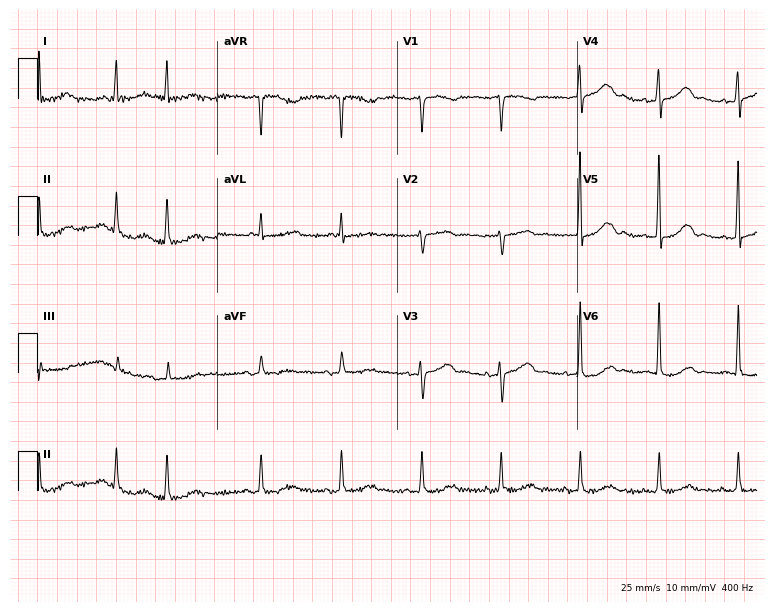
Resting 12-lead electrocardiogram (7.3-second recording at 400 Hz). Patient: a female, 79 years old. None of these six findings is recorded: first-degree AV block, right bundle branch block, left bundle branch block, sinus bradycardia, atrial fibrillation, sinus tachycardia. Other findings, if any, are not listed.